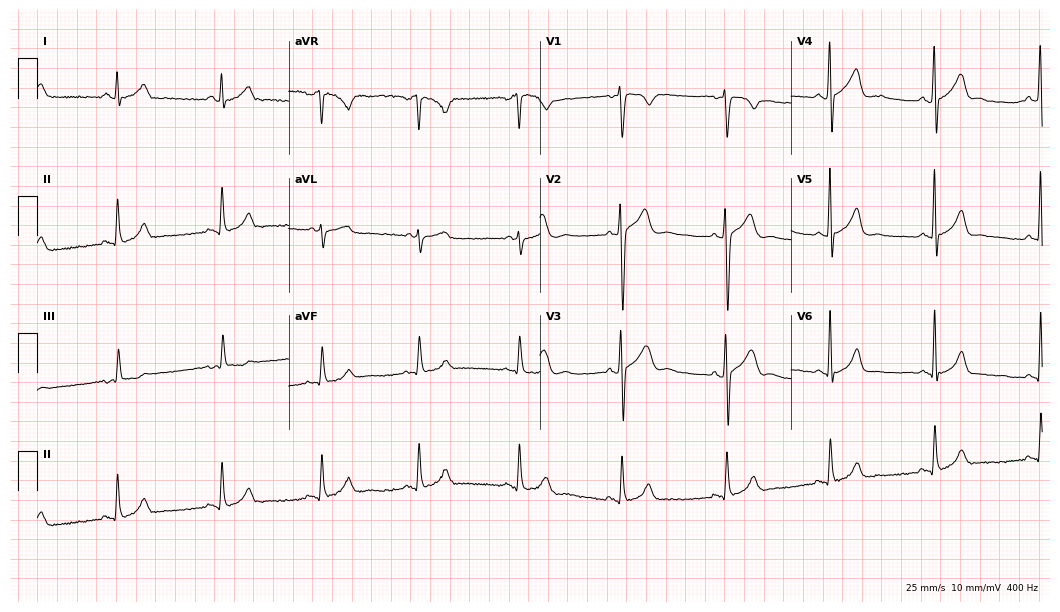
Resting 12-lead electrocardiogram. Patient: a 35-year-old male. Read as a normal ECG.